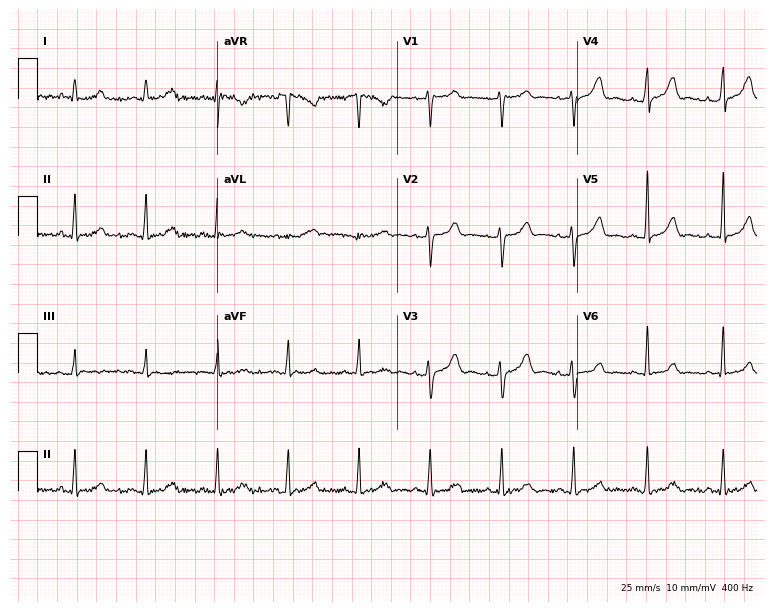
ECG — a 30-year-old woman. Screened for six findings — first-degree AV block, right bundle branch block, left bundle branch block, sinus bradycardia, atrial fibrillation, sinus tachycardia — none is recorded. Findings outside these six are not listed.